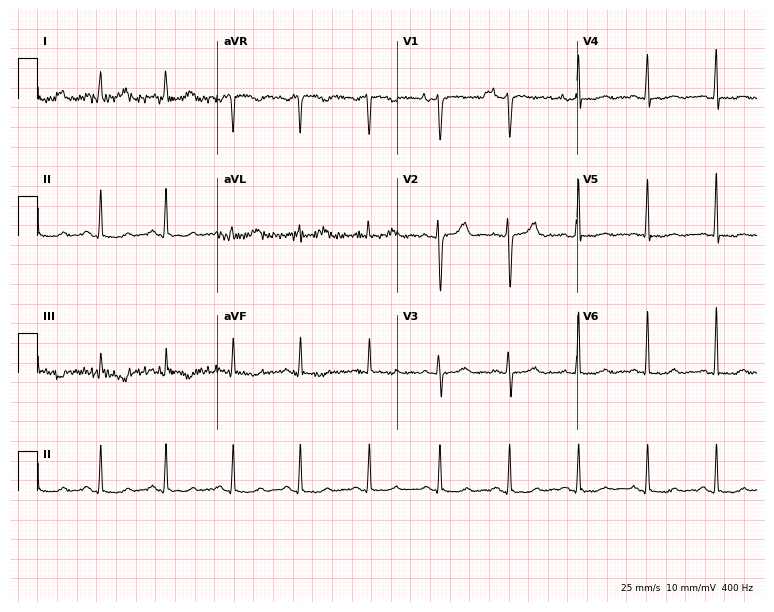
Electrocardiogram, a 37-year-old female. Of the six screened findings (first-degree AV block, right bundle branch block, left bundle branch block, sinus bradycardia, atrial fibrillation, sinus tachycardia), none is recorded. Only these six findings were labelled.